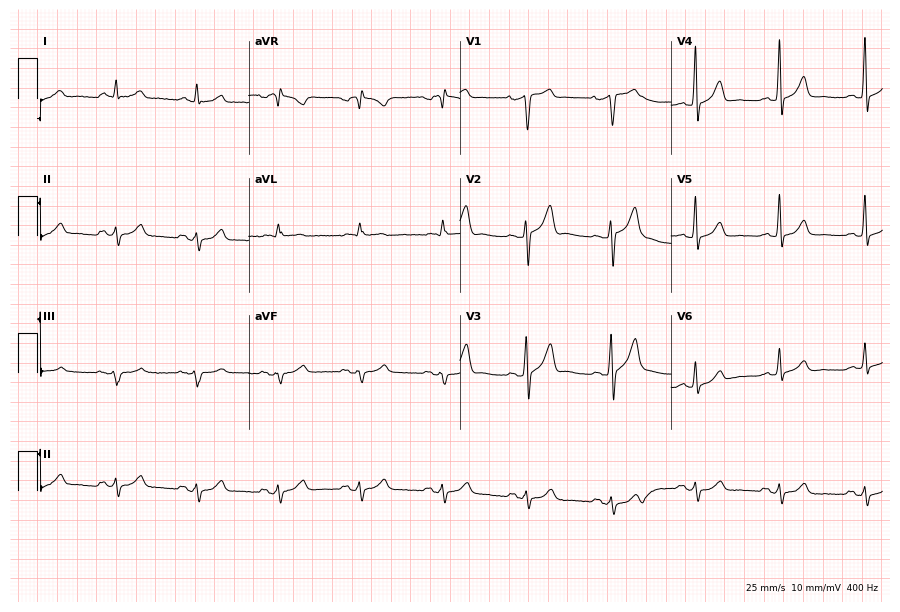
12-lead ECG from a male patient, 63 years old. Screened for six findings — first-degree AV block, right bundle branch block, left bundle branch block, sinus bradycardia, atrial fibrillation, sinus tachycardia — none is recorded.